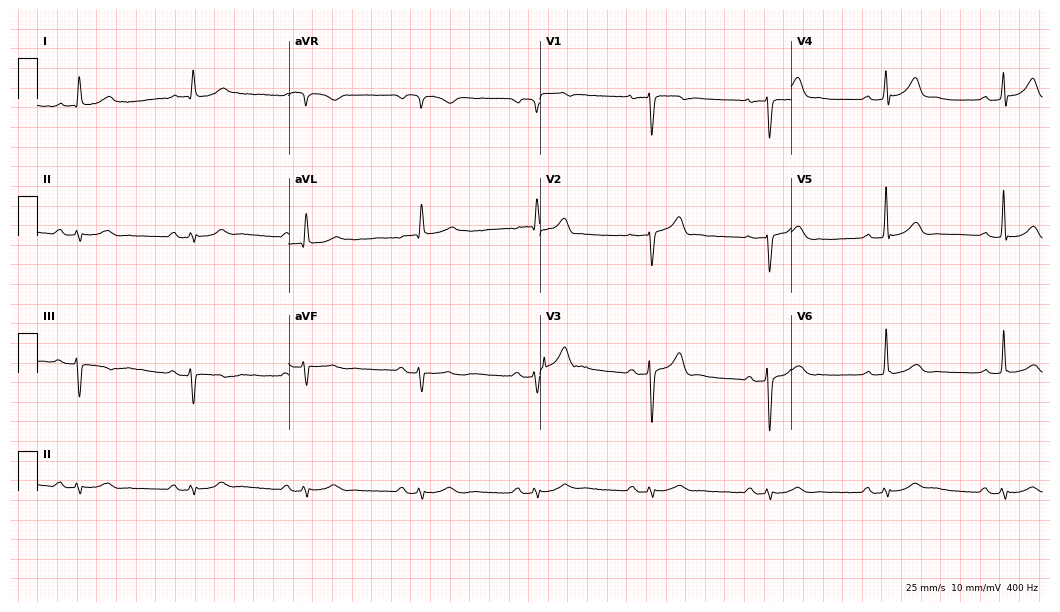
12-lead ECG from a 64-year-old man (10.2-second recording at 400 Hz). No first-degree AV block, right bundle branch block, left bundle branch block, sinus bradycardia, atrial fibrillation or sinus tachycardia recorded for this tracing. Other findings, if any, are not listed.